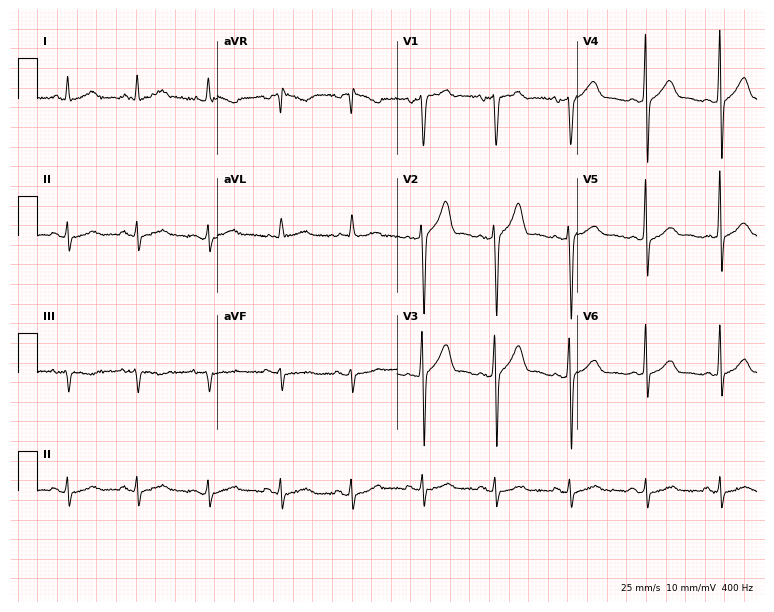
12-lead ECG from a male, 65 years old (7.3-second recording at 400 Hz). No first-degree AV block, right bundle branch block (RBBB), left bundle branch block (LBBB), sinus bradycardia, atrial fibrillation (AF) or sinus tachycardia recorded for this tracing. Other findings, if any, are not listed.